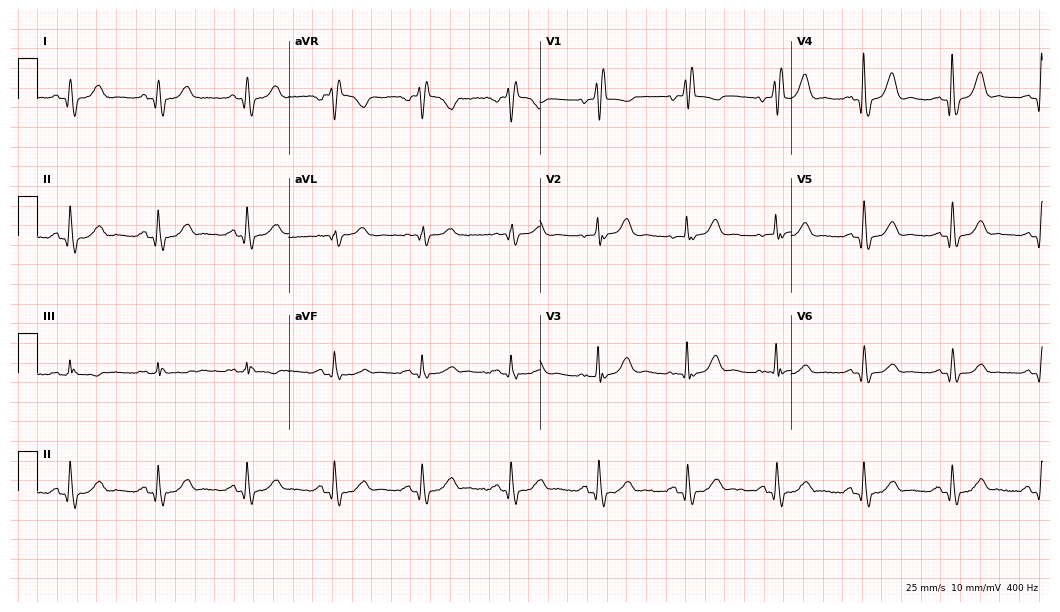
12-lead ECG (10.2-second recording at 400 Hz) from a 77-year-old female patient. Findings include right bundle branch block.